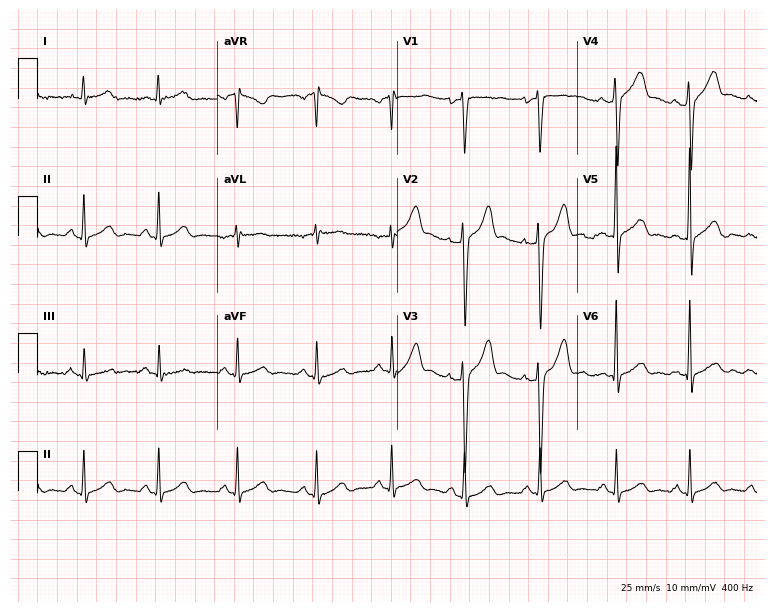
12-lead ECG from a man, 25 years old (7.3-second recording at 400 Hz). Recorded interpretation: within normal limits.